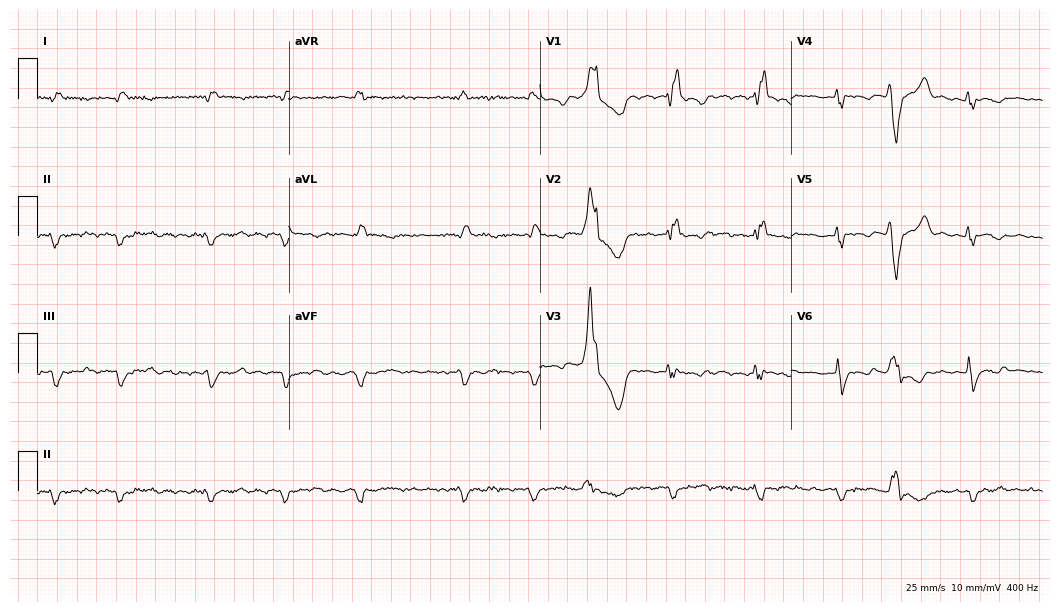
12-lead ECG (10.2-second recording at 400 Hz) from an 82-year-old man. Screened for six findings — first-degree AV block, right bundle branch block (RBBB), left bundle branch block (LBBB), sinus bradycardia, atrial fibrillation (AF), sinus tachycardia — none is recorded.